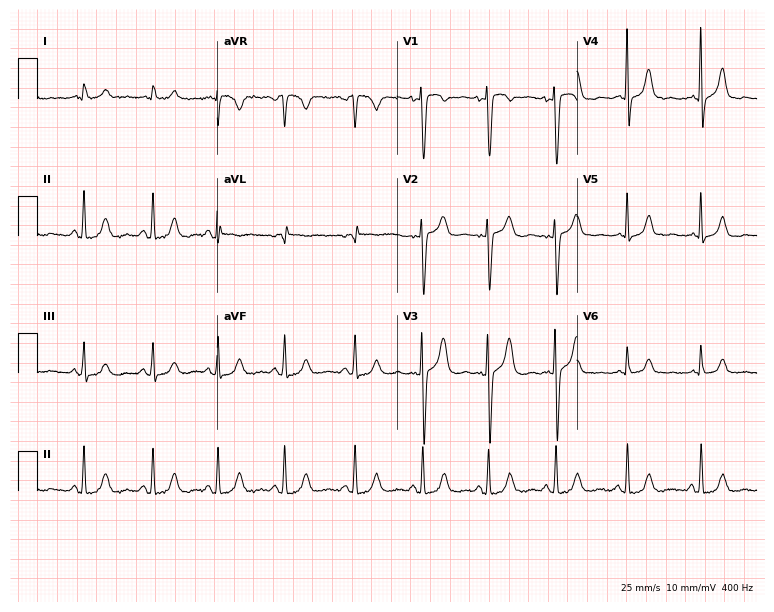
Electrocardiogram (7.3-second recording at 400 Hz), a 42-year-old female patient. Of the six screened findings (first-degree AV block, right bundle branch block (RBBB), left bundle branch block (LBBB), sinus bradycardia, atrial fibrillation (AF), sinus tachycardia), none is recorded. Findings outside these six are not listed.